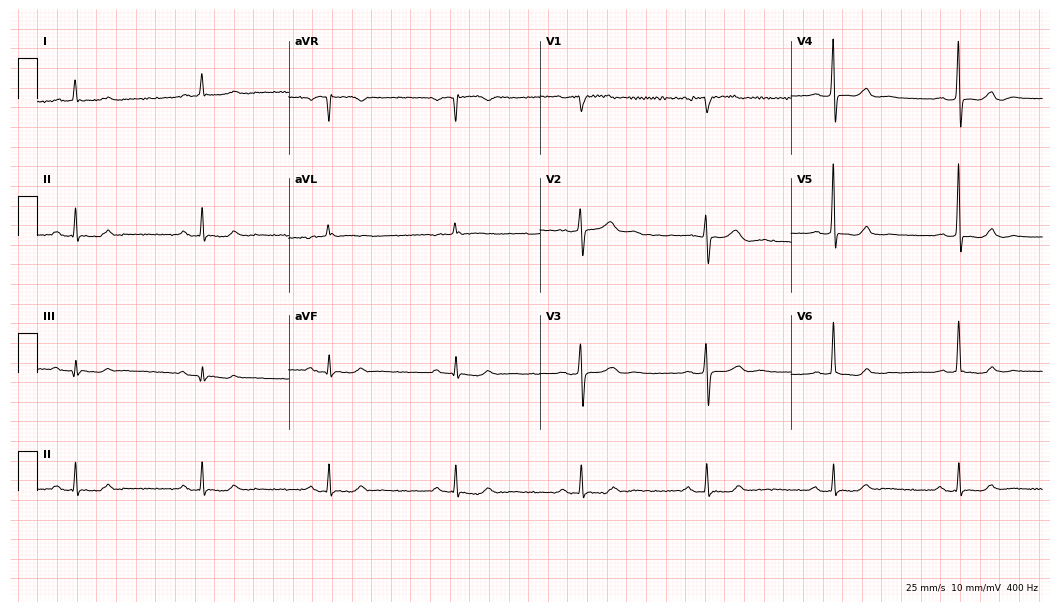
12-lead ECG from a female patient, 70 years old. Shows sinus bradycardia (a sinus rate of 50 beats per minute or less).